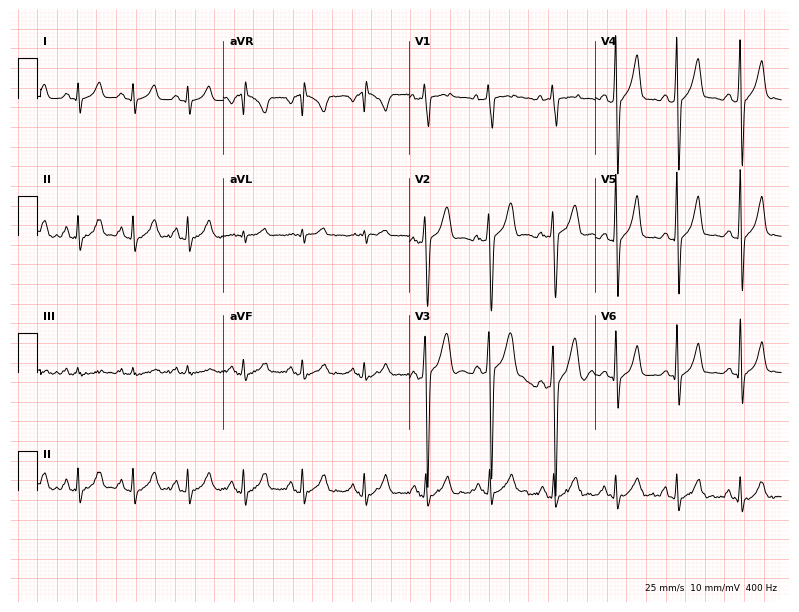
Resting 12-lead electrocardiogram. Patient: a male, 17 years old. Read as a normal ECG.